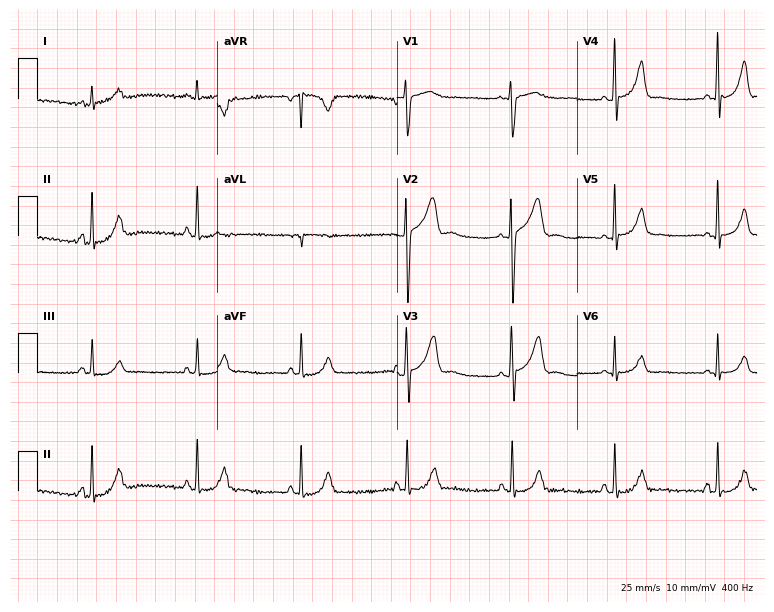
Resting 12-lead electrocardiogram. Patient: a 36-year-old man. Read as a normal ECG.